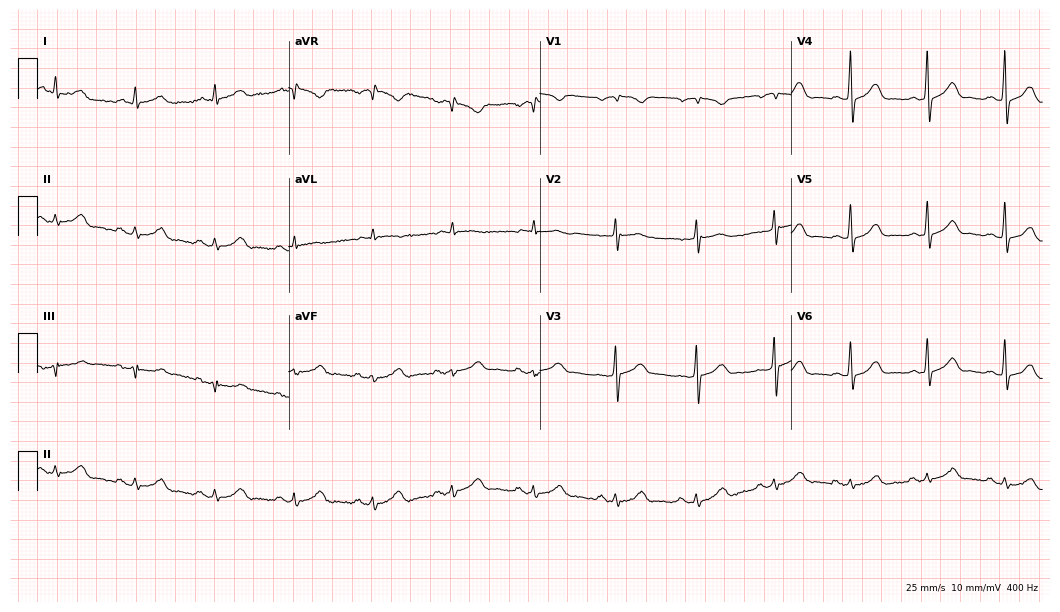
Standard 12-lead ECG recorded from a male patient, 53 years old (10.2-second recording at 400 Hz). None of these six findings is recorded: first-degree AV block, right bundle branch block, left bundle branch block, sinus bradycardia, atrial fibrillation, sinus tachycardia. Other findings, if any, are not listed.